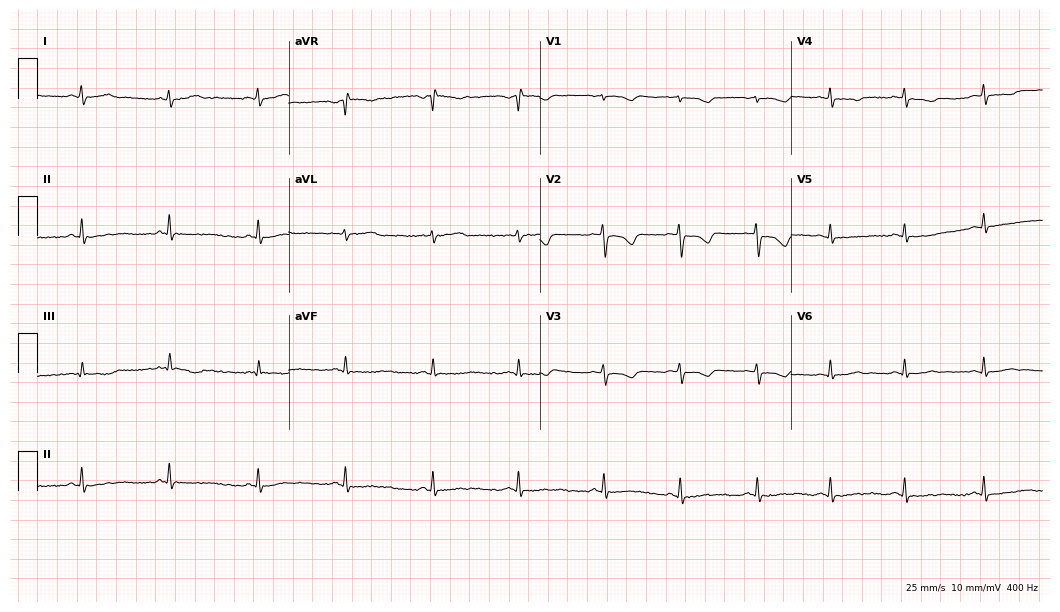
Standard 12-lead ECG recorded from a 20-year-old female (10.2-second recording at 400 Hz). None of these six findings is recorded: first-degree AV block, right bundle branch block, left bundle branch block, sinus bradycardia, atrial fibrillation, sinus tachycardia. Only these six findings were labelled.